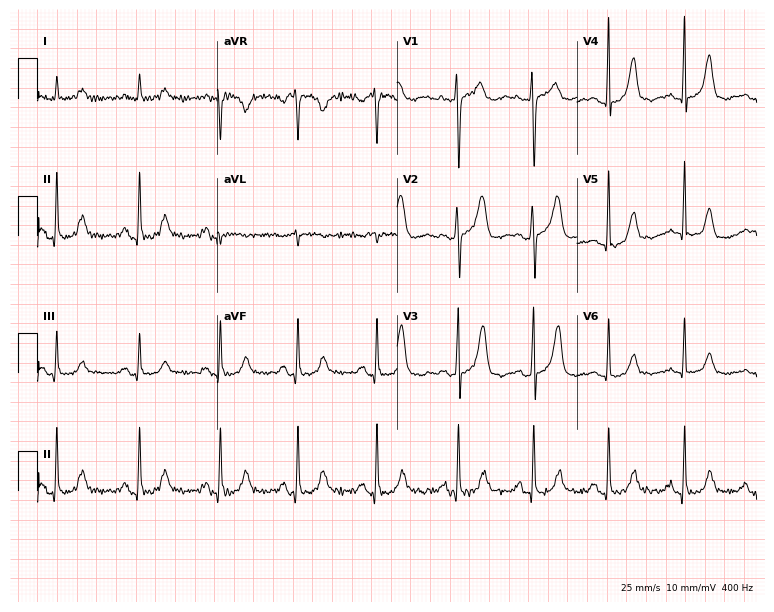
12-lead ECG from a 72-year-old female (7.3-second recording at 400 Hz). No first-degree AV block, right bundle branch block, left bundle branch block, sinus bradycardia, atrial fibrillation or sinus tachycardia recorded for this tracing.